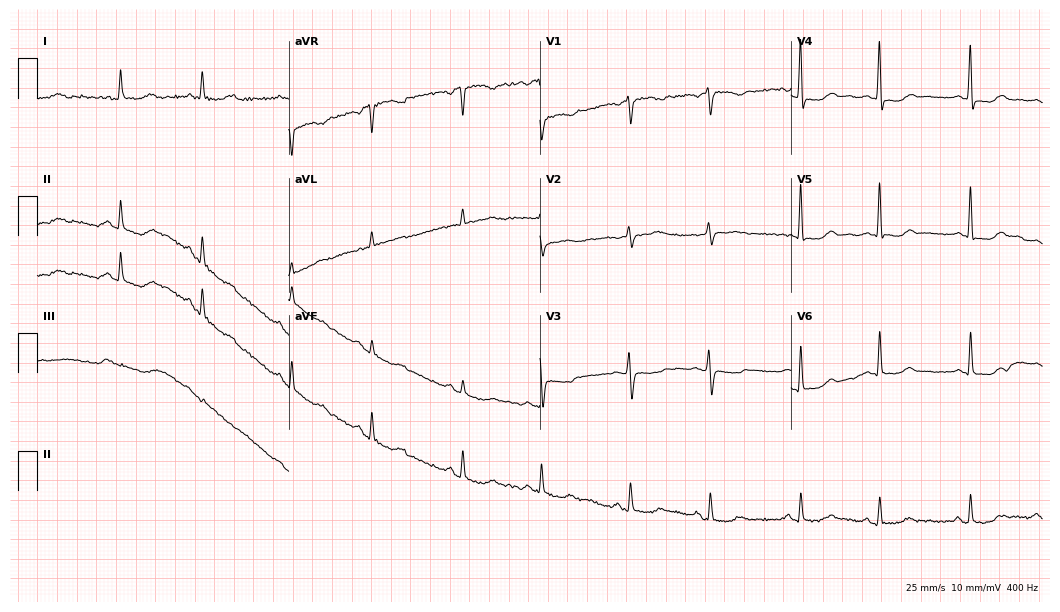
Standard 12-lead ECG recorded from a woman, 57 years old (10.2-second recording at 400 Hz). Read as a normal ECG.